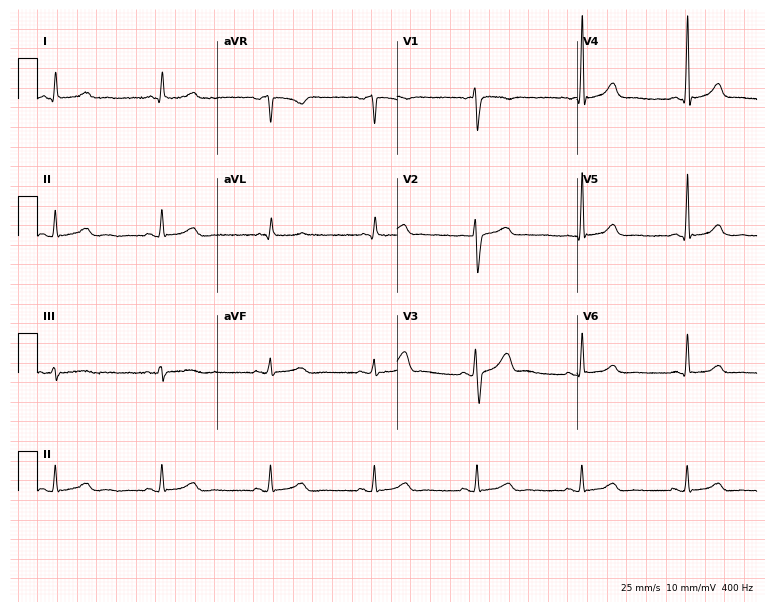
Standard 12-lead ECG recorded from a 55-year-old man (7.3-second recording at 400 Hz). Read as a normal ECG.